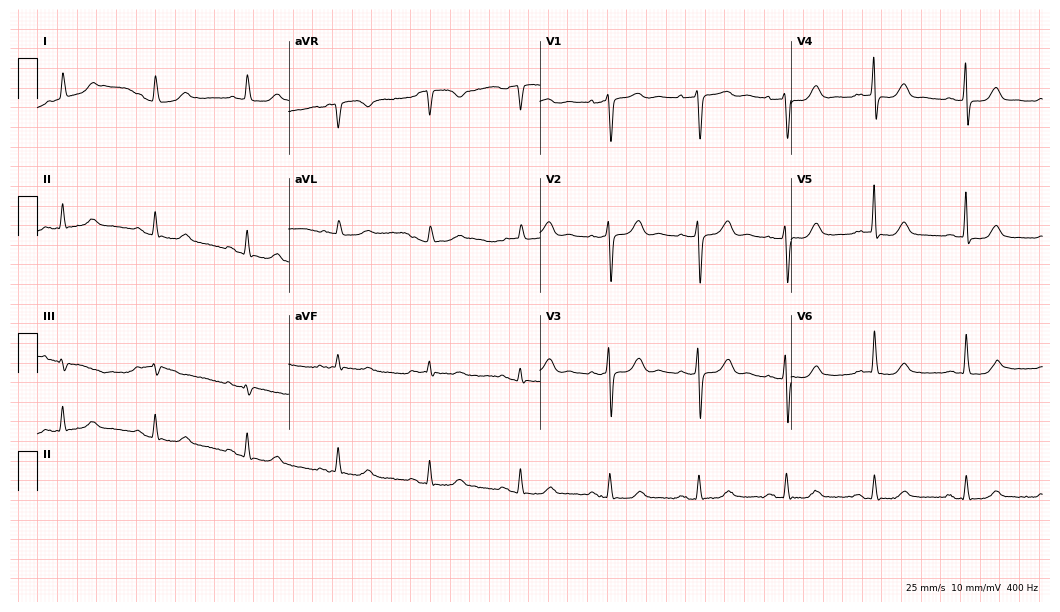
12-lead ECG from a female, 78 years old. Screened for six findings — first-degree AV block, right bundle branch block, left bundle branch block, sinus bradycardia, atrial fibrillation, sinus tachycardia — none is recorded. Only these six findings were labelled.